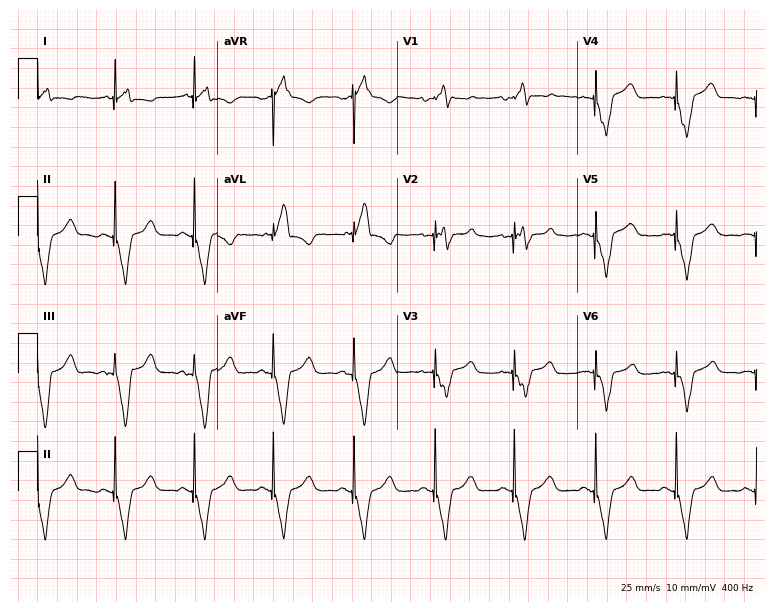
Resting 12-lead electrocardiogram (7.3-second recording at 400 Hz). Patient: a man, 75 years old. None of these six findings is recorded: first-degree AV block, right bundle branch block, left bundle branch block, sinus bradycardia, atrial fibrillation, sinus tachycardia. Only these six findings were labelled.